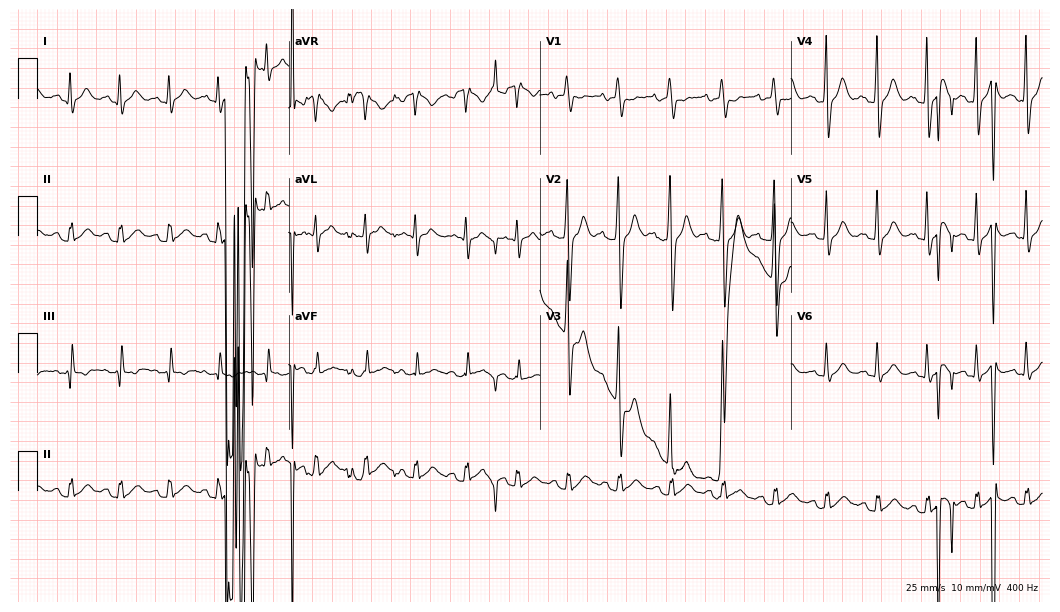
Resting 12-lead electrocardiogram (10.2-second recording at 400 Hz). Patient: a male, 20 years old. None of these six findings is recorded: first-degree AV block, right bundle branch block, left bundle branch block, sinus bradycardia, atrial fibrillation, sinus tachycardia.